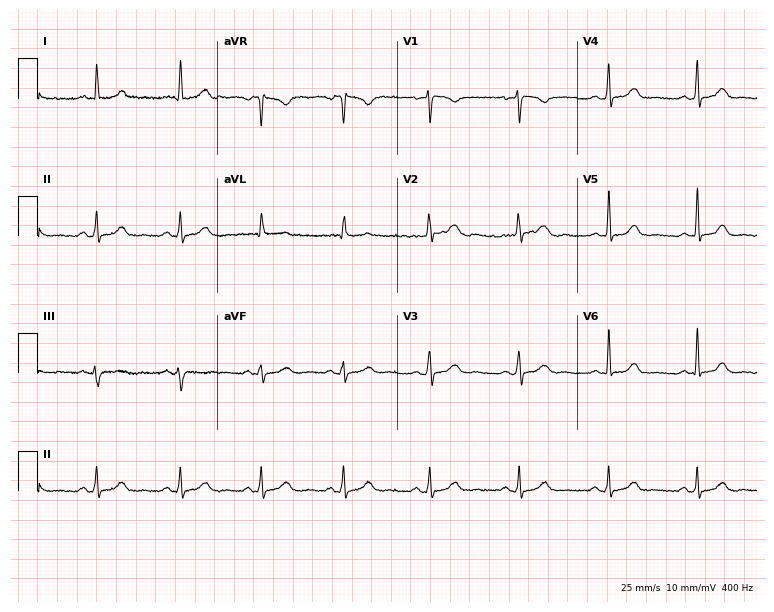
Resting 12-lead electrocardiogram. Patient: a female, 45 years old. Read as a normal ECG.